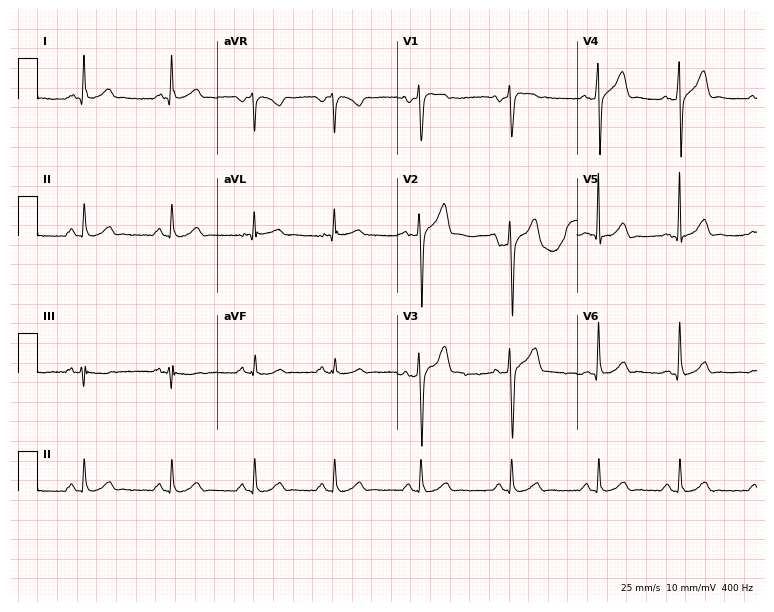
Resting 12-lead electrocardiogram (7.3-second recording at 400 Hz). Patient: a 49-year-old male. None of these six findings is recorded: first-degree AV block, right bundle branch block, left bundle branch block, sinus bradycardia, atrial fibrillation, sinus tachycardia. Only these six findings were labelled.